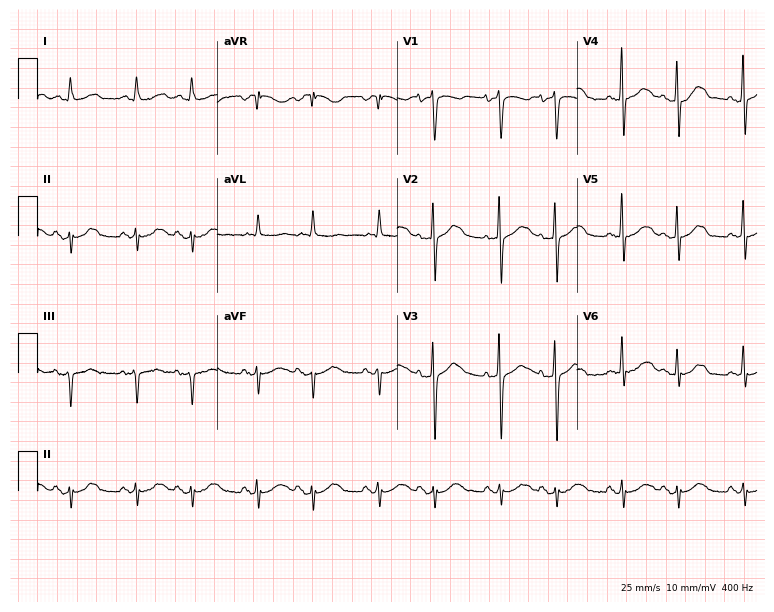
12-lead ECG from a female, 85 years old. Screened for six findings — first-degree AV block, right bundle branch block, left bundle branch block, sinus bradycardia, atrial fibrillation, sinus tachycardia — none is recorded. Only these six findings were labelled.